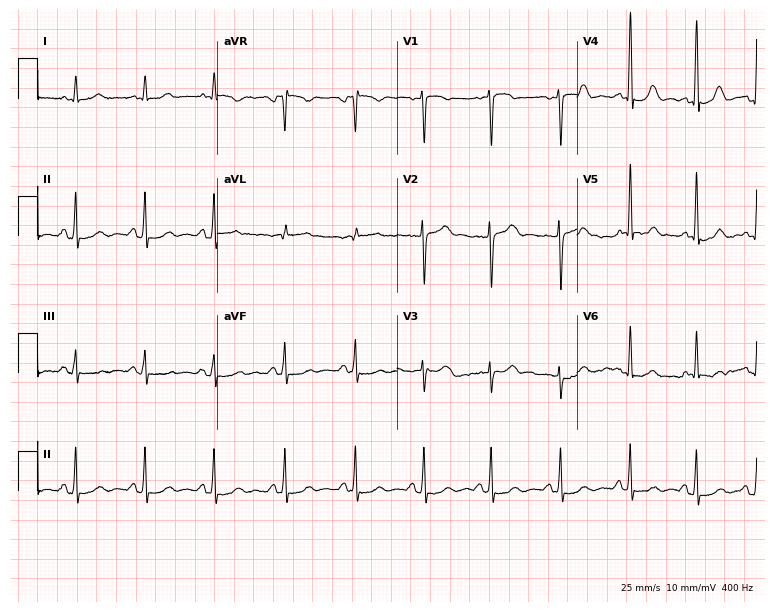
Standard 12-lead ECG recorded from a 63-year-old man (7.3-second recording at 400 Hz). Read as a normal ECG.